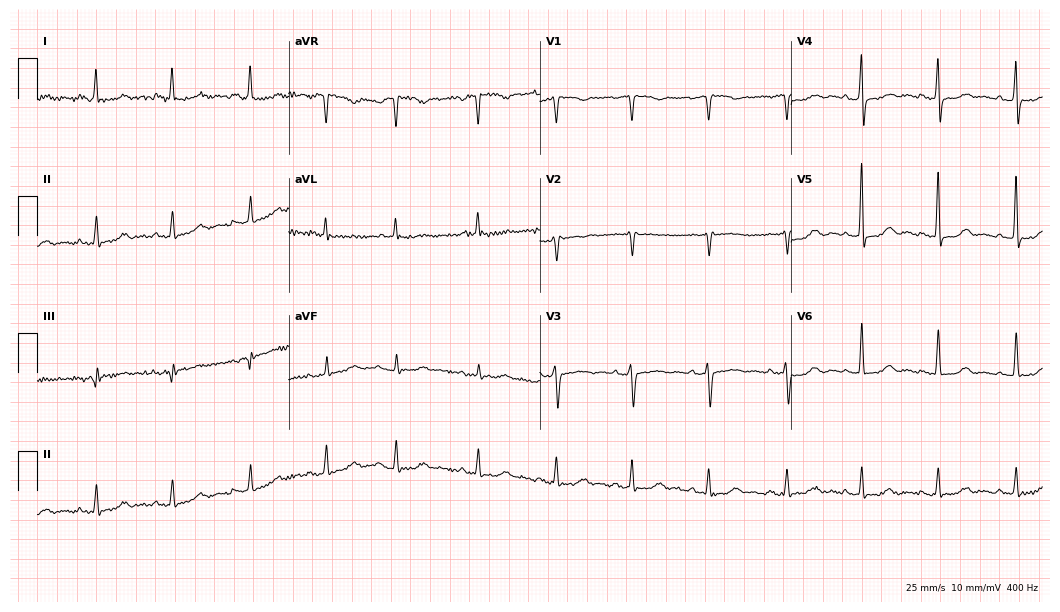
Standard 12-lead ECG recorded from a 62-year-old female (10.2-second recording at 400 Hz). None of these six findings is recorded: first-degree AV block, right bundle branch block, left bundle branch block, sinus bradycardia, atrial fibrillation, sinus tachycardia. Other findings, if any, are not listed.